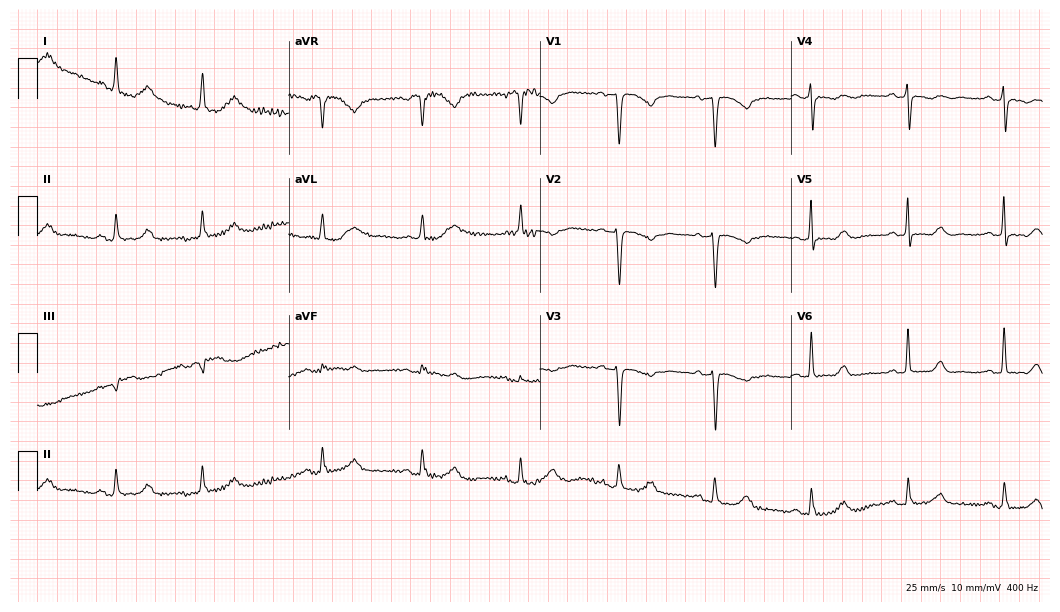
Standard 12-lead ECG recorded from a 67-year-old female patient (10.2-second recording at 400 Hz). None of these six findings is recorded: first-degree AV block, right bundle branch block, left bundle branch block, sinus bradycardia, atrial fibrillation, sinus tachycardia. Findings outside these six are not listed.